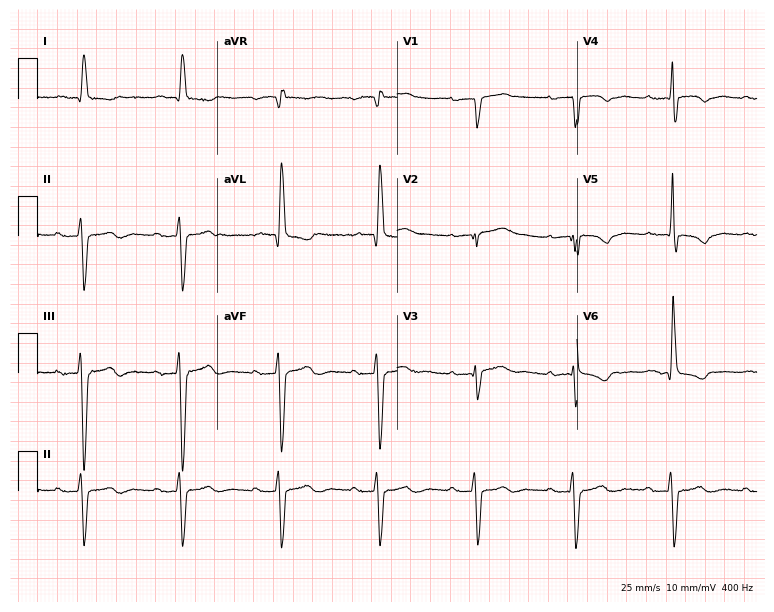
Standard 12-lead ECG recorded from a man, 85 years old. None of these six findings is recorded: first-degree AV block, right bundle branch block (RBBB), left bundle branch block (LBBB), sinus bradycardia, atrial fibrillation (AF), sinus tachycardia.